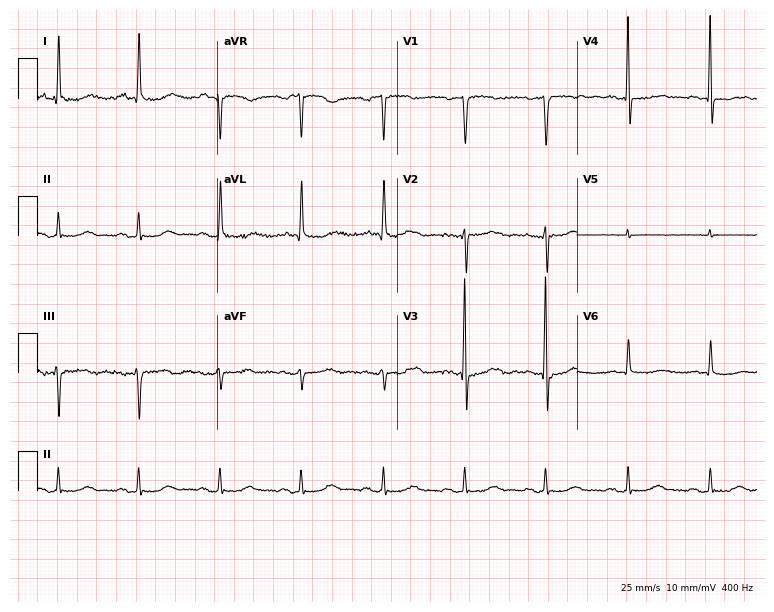
12-lead ECG from a 79-year-old woman. No first-degree AV block, right bundle branch block (RBBB), left bundle branch block (LBBB), sinus bradycardia, atrial fibrillation (AF) or sinus tachycardia recorded for this tracing.